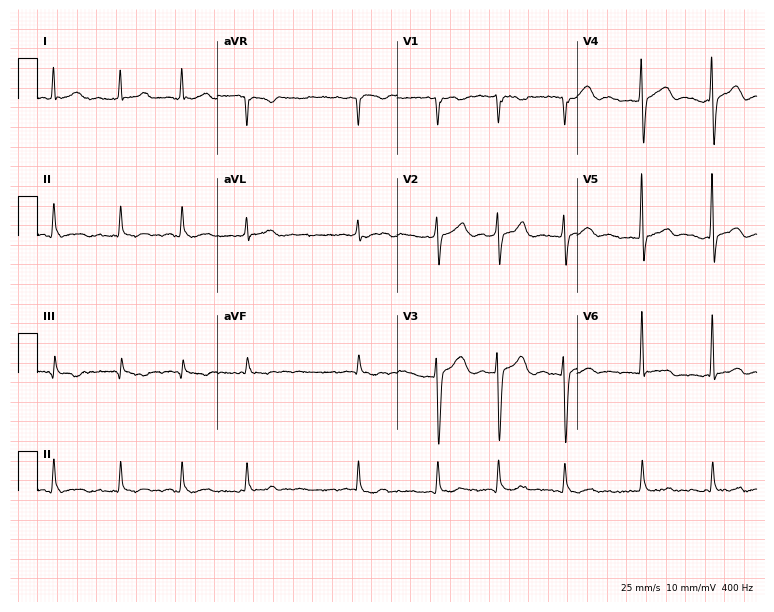
12-lead ECG (7.3-second recording at 400 Hz) from a male, 66 years old. Findings include atrial fibrillation.